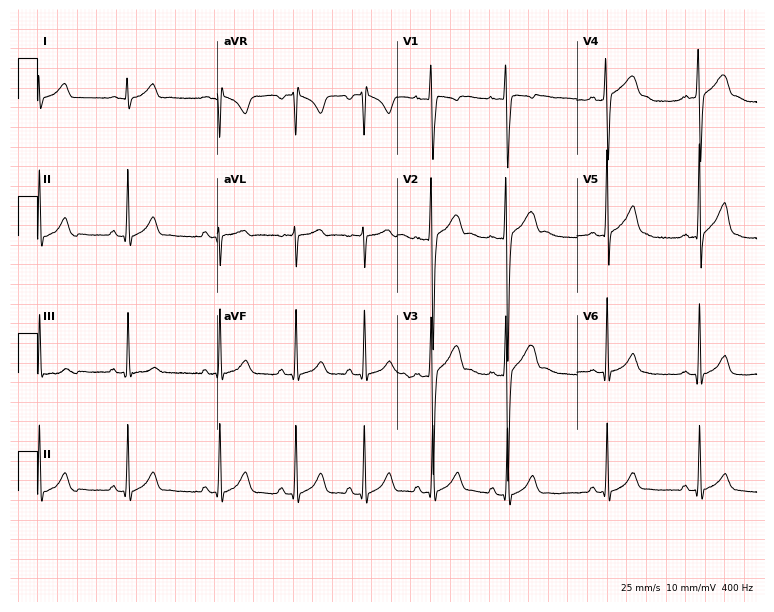
Standard 12-lead ECG recorded from a male, 18 years old (7.3-second recording at 400 Hz). None of these six findings is recorded: first-degree AV block, right bundle branch block (RBBB), left bundle branch block (LBBB), sinus bradycardia, atrial fibrillation (AF), sinus tachycardia. Only these six findings were labelled.